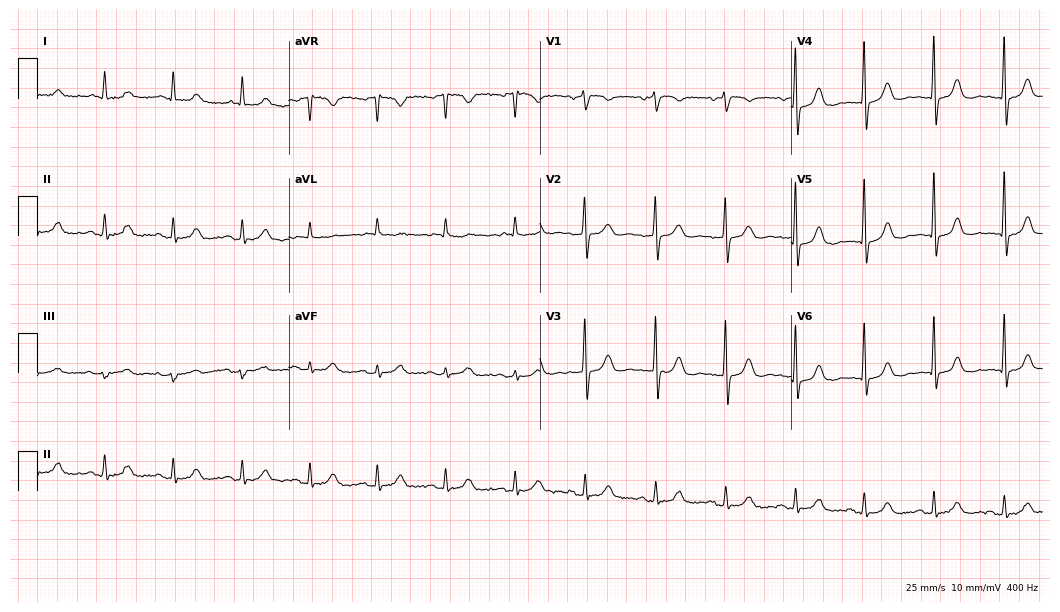
12-lead ECG from a female patient, 64 years old. Recorded interpretation: within normal limits.